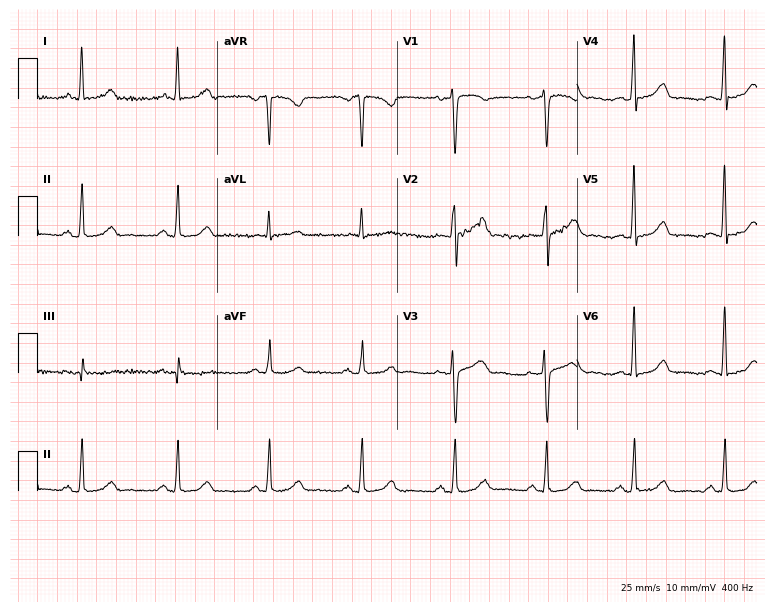
Resting 12-lead electrocardiogram. Patient: a 37-year-old female. Read as a normal ECG.